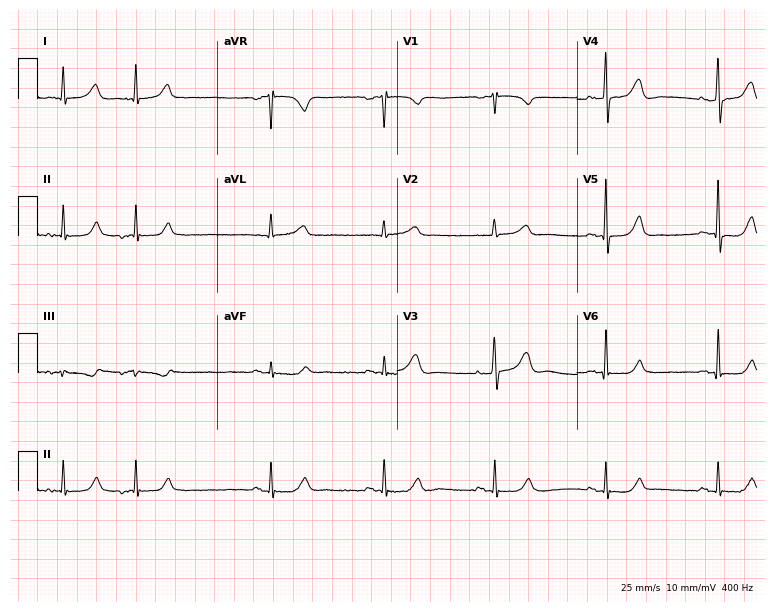
12-lead ECG from a woman, 82 years old. No first-degree AV block, right bundle branch block, left bundle branch block, sinus bradycardia, atrial fibrillation or sinus tachycardia recorded for this tracing.